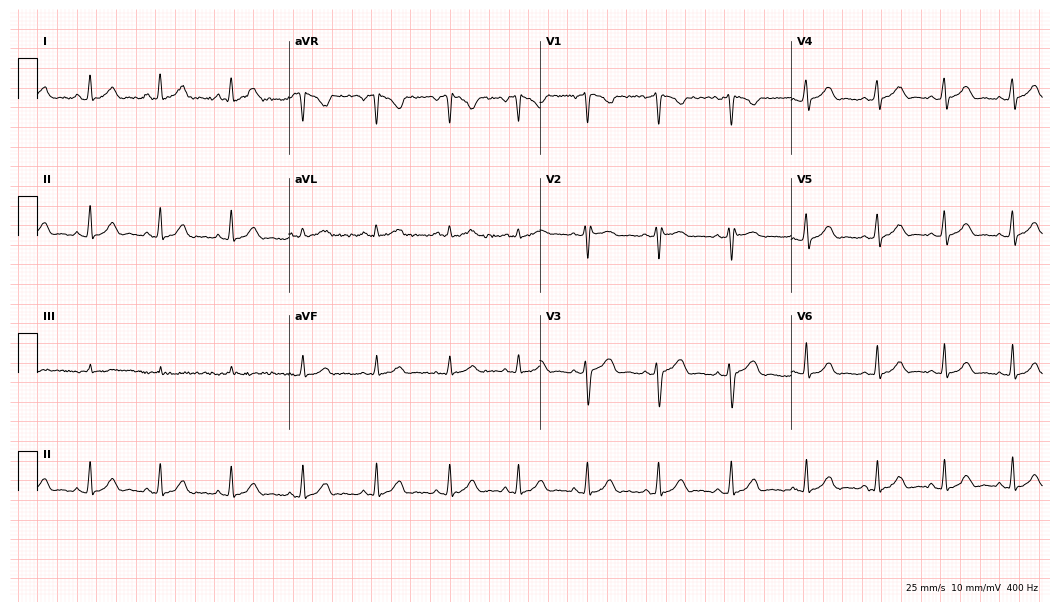
ECG (10.2-second recording at 400 Hz) — a 25-year-old female patient. Screened for six findings — first-degree AV block, right bundle branch block (RBBB), left bundle branch block (LBBB), sinus bradycardia, atrial fibrillation (AF), sinus tachycardia — none is recorded.